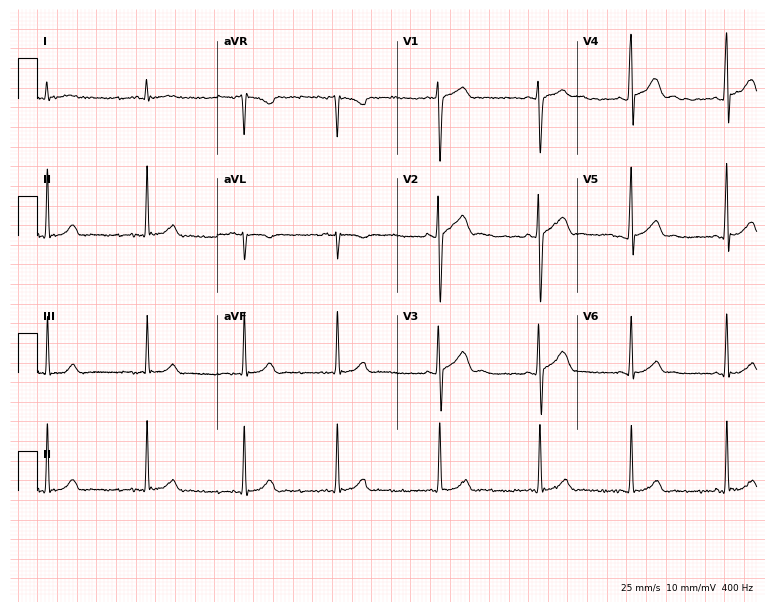
ECG (7.3-second recording at 400 Hz) — a male, 19 years old. Labelled as a normal ECG.